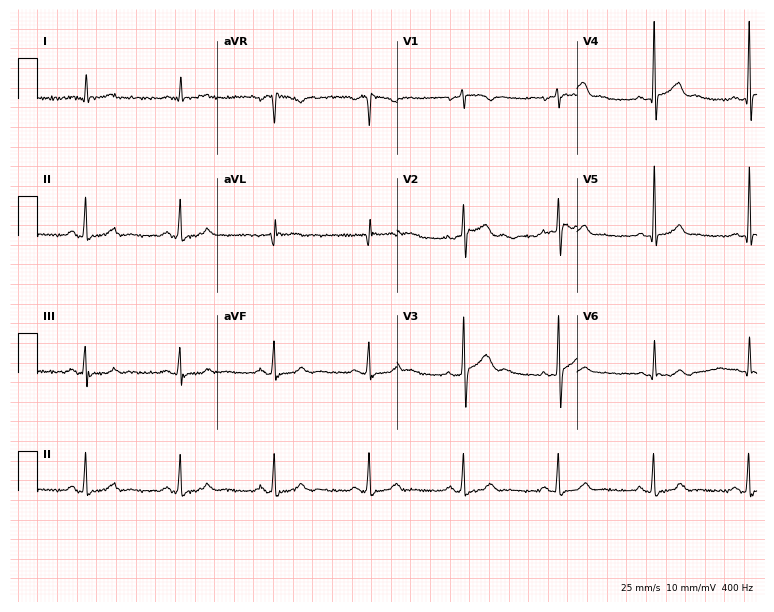
12-lead ECG from a male patient, 60 years old (7.3-second recording at 400 Hz). No first-degree AV block, right bundle branch block, left bundle branch block, sinus bradycardia, atrial fibrillation or sinus tachycardia recorded for this tracing. Other findings, if any, are not listed.